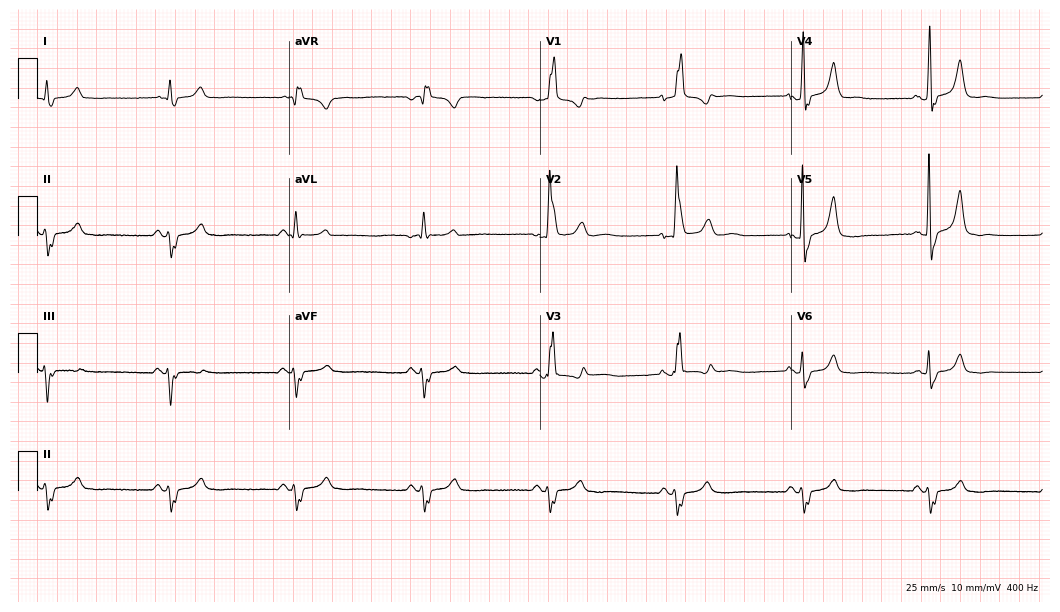
Standard 12-lead ECG recorded from a male patient, 77 years old (10.2-second recording at 400 Hz). The tracing shows right bundle branch block, sinus bradycardia (a sinus rate of 50 beats per minute or less).